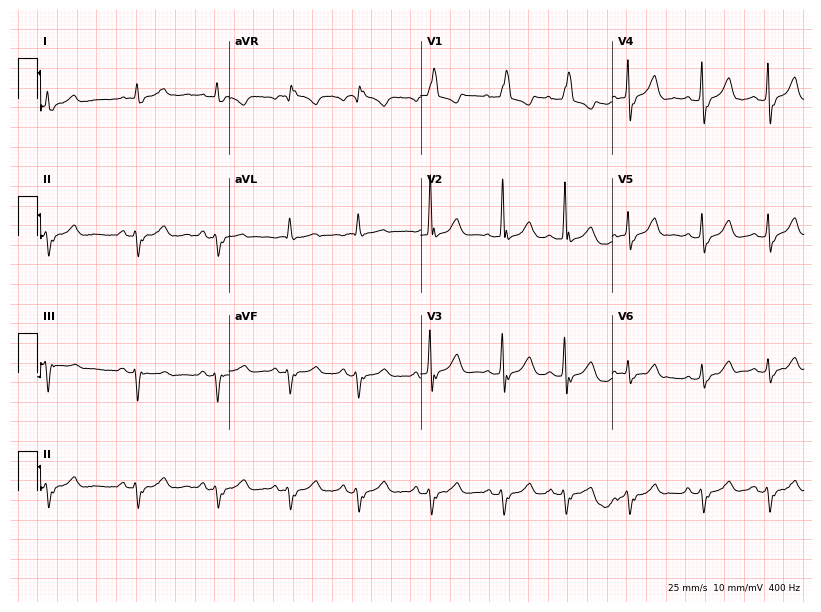
12-lead ECG from a woman, 85 years old. Findings include right bundle branch block.